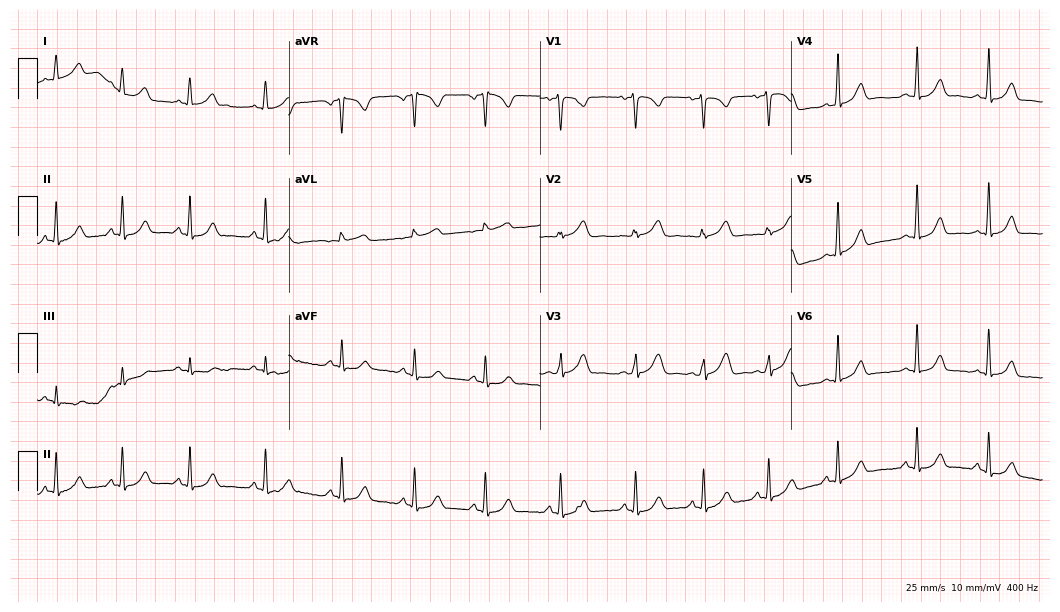
Standard 12-lead ECG recorded from a female patient, 33 years old (10.2-second recording at 400 Hz). None of these six findings is recorded: first-degree AV block, right bundle branch block (RBBB), left bundle branch block (LBBB), sinus bradycardia, atrial fibrillation (AF), sinus tachycardia. Findings outside these six are not listed.